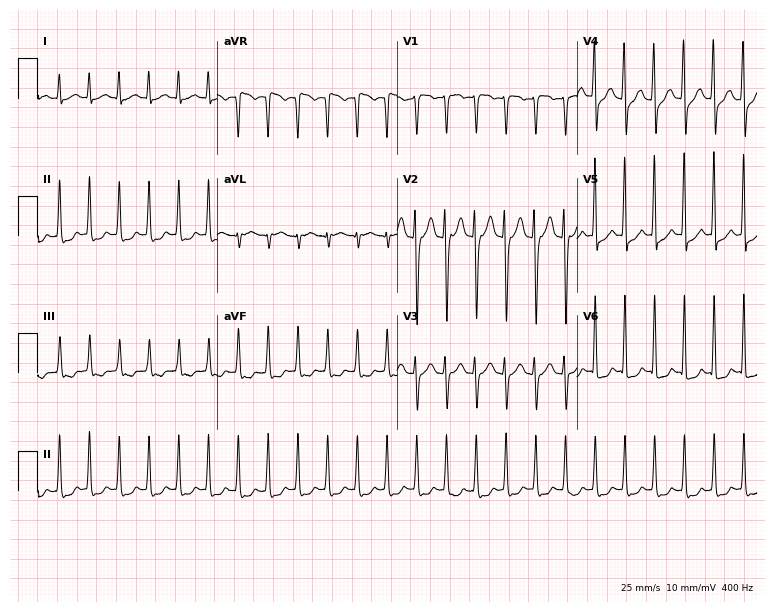
12-lead ECG from a female, 40 years old (7.3-second recording at 400 Hz). No first-degree AV block, right bundle branch block, left bundle branch block, sinus bradycardia, atrial fibrillation or sinus tachycardia recorded for this tracing.